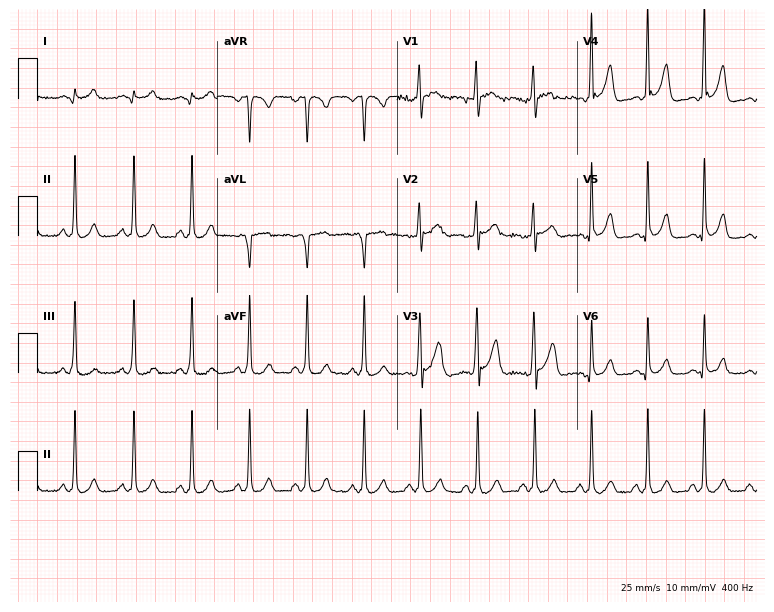
Resting 12-lead electrocardiogram. Patient: a 27-year-old man. The tracing shows sinus tachycardia (a sinus rate of 100 beats per minute or more).